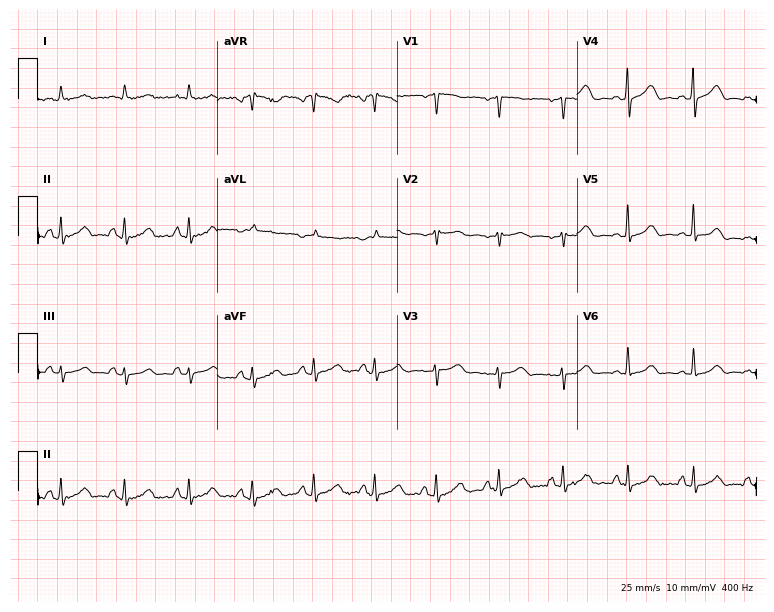
Electrocardiogram (7.3-second recording at 400 Hz), a female, 36 years old. Of the six screened findings (first-degree AV block, right bundle branch block, left bundle branch block, sinus bradycardia, atrial fibrillation, sinus tachycardia), none is recorded. Findings outside these six are not listed.